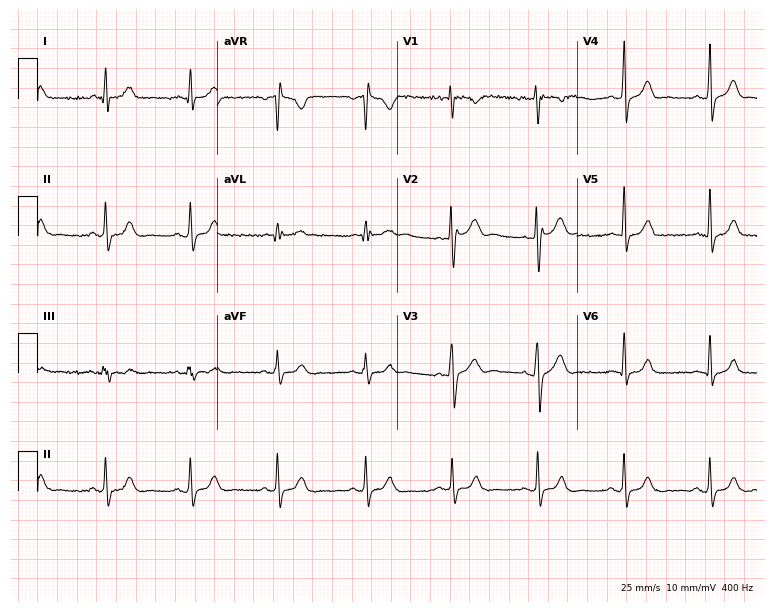
12-lead ECG from a male, 30 years old. Screened for six findings — first-degree AV block, right bundle branch block, left bundle branch block, sinus bradycardia, atrial fibrillation, sinus tachycardia — none is recorded. Other findings, if any, are not listed.